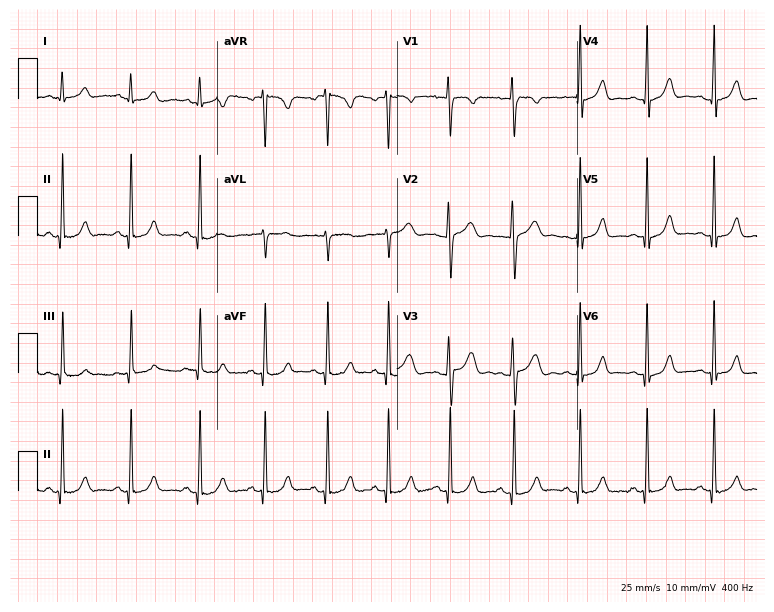
Electrocardiogram (7.3-second recording at 400 Hz), a woman, 24 years old. Of the six screened findings (first-degree AV block, right bundle branch block (RBBB), left bundle branch block (LBBB), sinus bradycardia, atrial fibrillation (AF), sinus tachycardia), none is recorded.